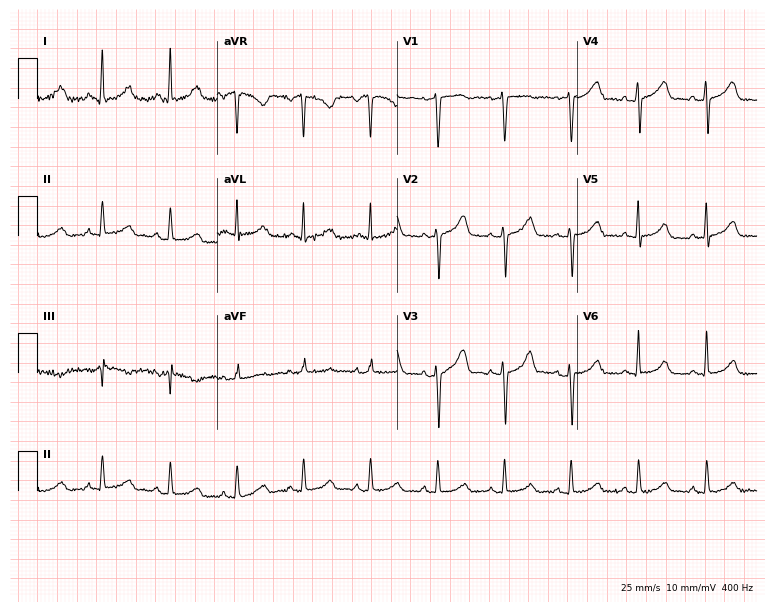
Resting 12-lead electrocardiogram (7.3-second recording at 400 Hz). Patient: a female, 39 years old. None of these six findings is recorded: first-degree AV block, right bundle branch block, left bundle branch block, sinus bradycardia, atrial fibrillation, sinus tachycardia.